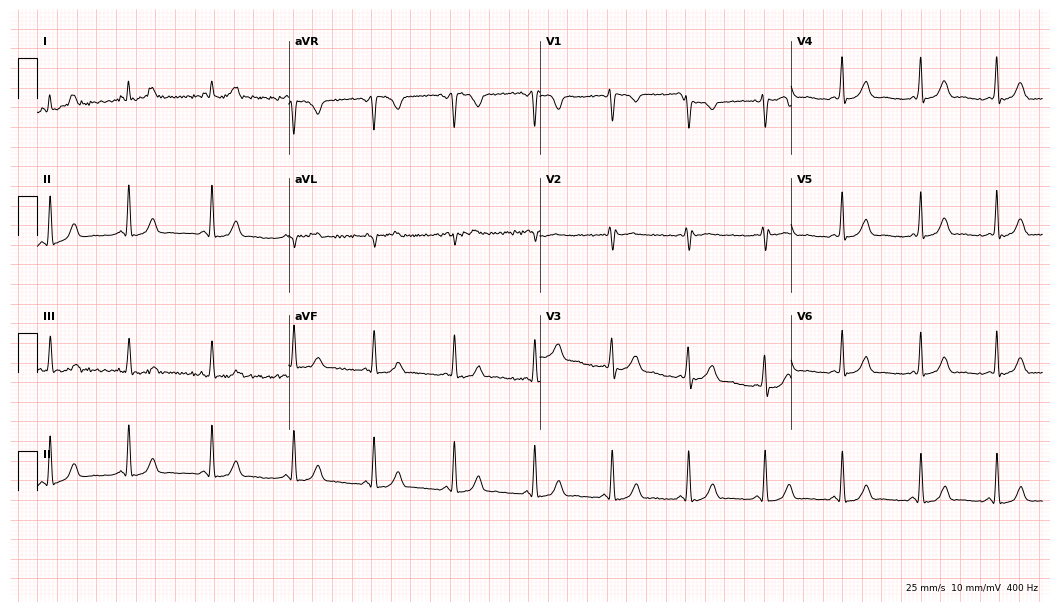
Electrocardiogram (10.2-second recording at 400 Hz), a female patient, 34 years old. Overall reading on record: normal ECG.